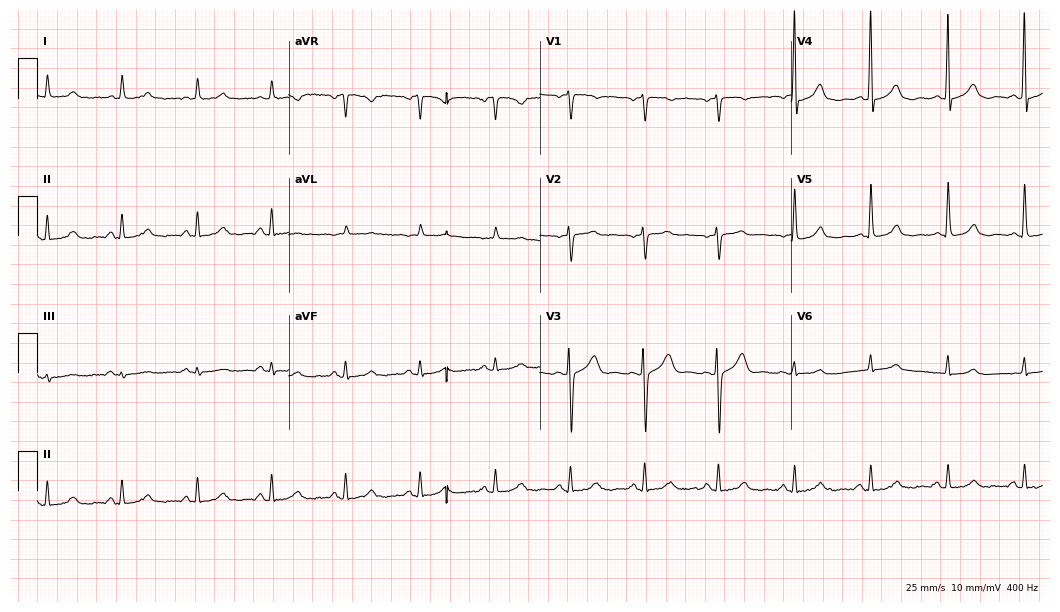
Standard 12-lead ECG recorded from a 59-year-old woman. Read as a normal ECG.